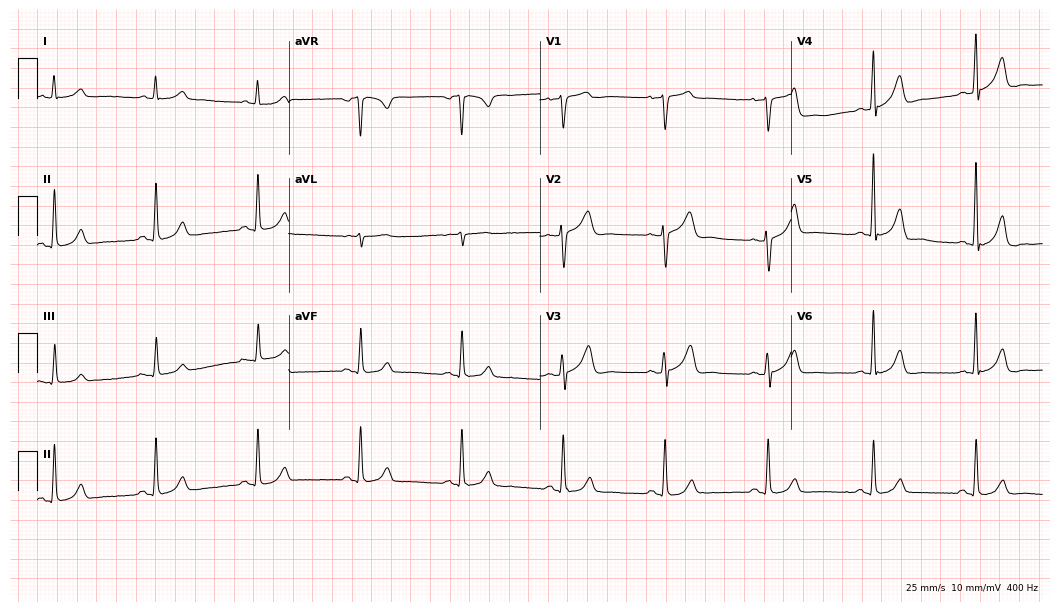
12-lead ECG (10.2-second recording at 400 Hz) from a 68-year-old male. Labelled as a normal ECG.